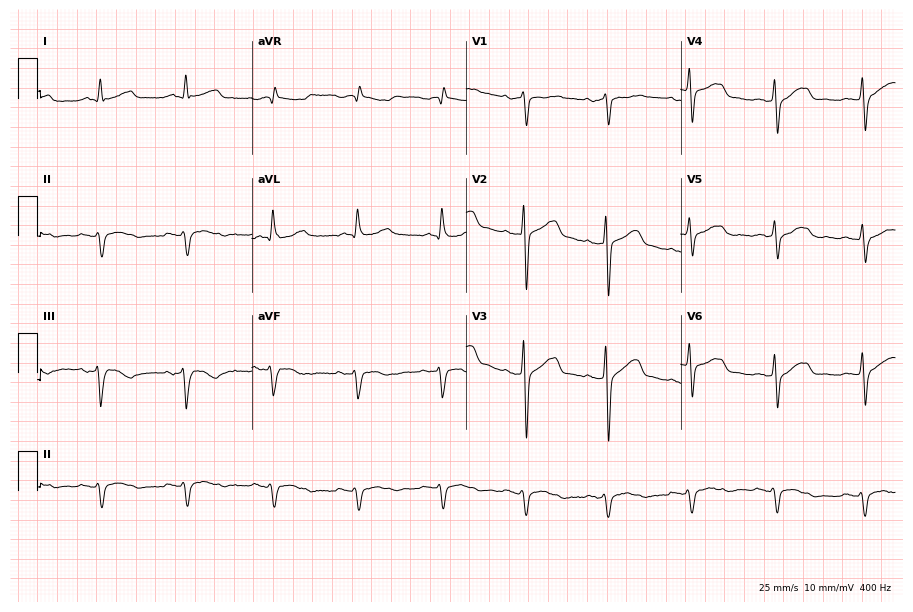
12-lead ECG from a male patient, 40 years old. Screened for six findings — first-degree AV block, right bundle branch block (RBBB), left bundle branch block (LBBB), sinus bradycardia, atrial fibrillation (AF), sinus tachycardia — none is recorded.